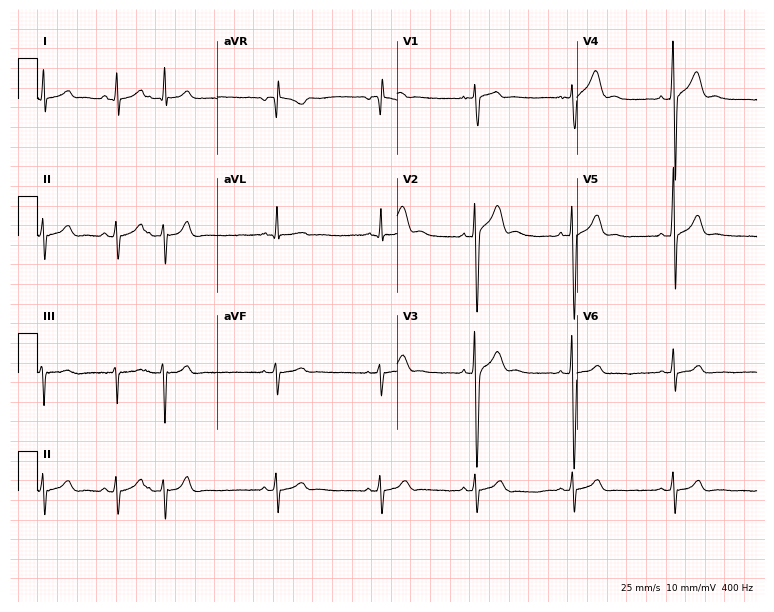
12-lead ECG from a male patient, 26 years old. Recorded interpretation: within normal limits.